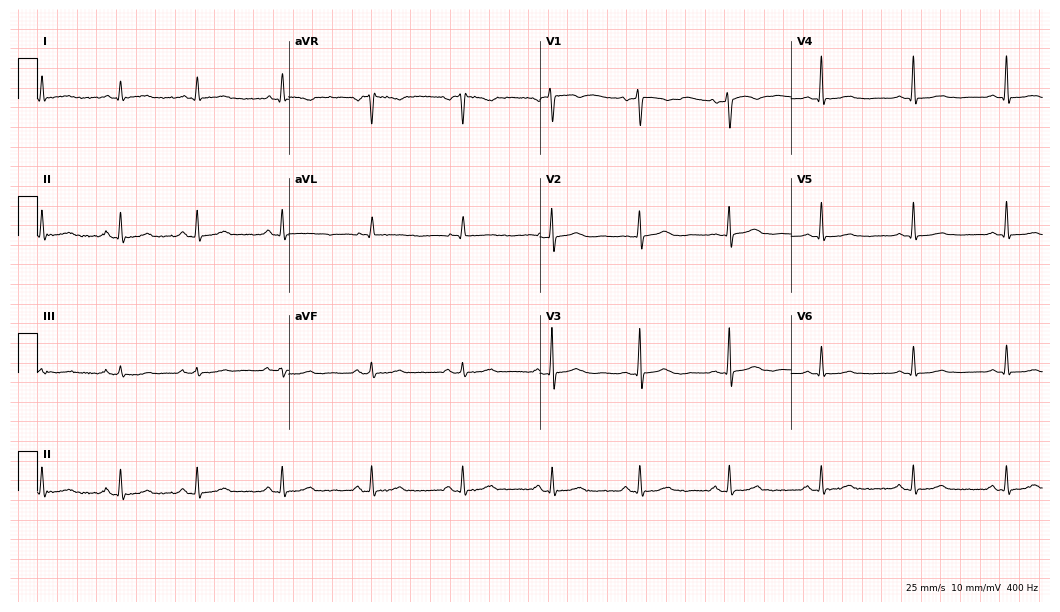
ECG — a woman, 40 years old. Screened for six findings — first-degree AV block, right bundle branch block, left bundle branch block, sinus bradycardia, atrial fibrillation, sinus tachycardia — none is recorded. Findings outside these six are not listed.